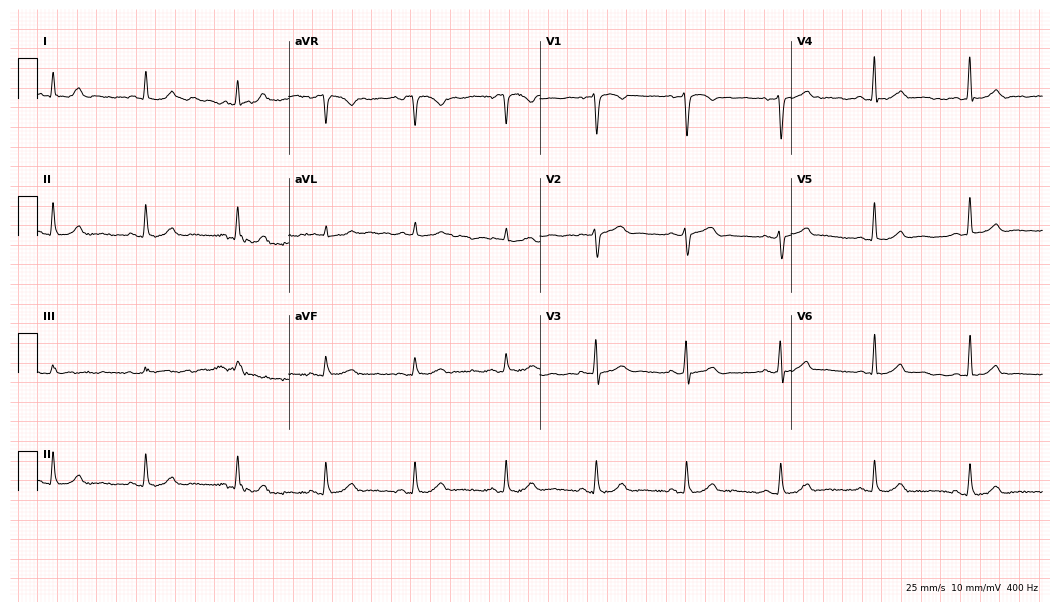
Electrocardiogram (10.2-second recording at 400 Hz), a male patient, 53 years old. Overall reading on record: normal ECG.